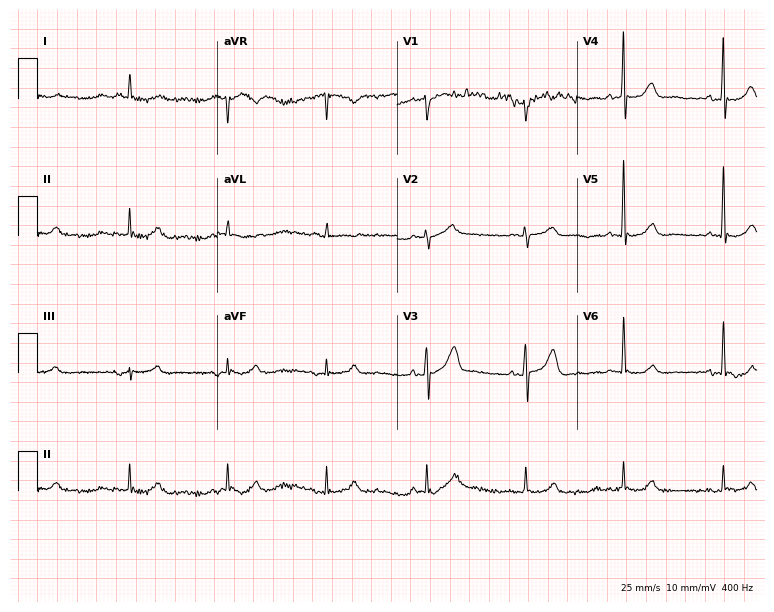
ECG (7.3-second recording at 400 Hz) — a male, 67 years old. Screened for six findings — first-degree AV block, right bundle branch block (RBBB), left bundle branch block (LBBB), sinus bradycardia, atrial fibrillation (AF), sinus tachycardia — none is recorded. Findings outside these six are not listed.